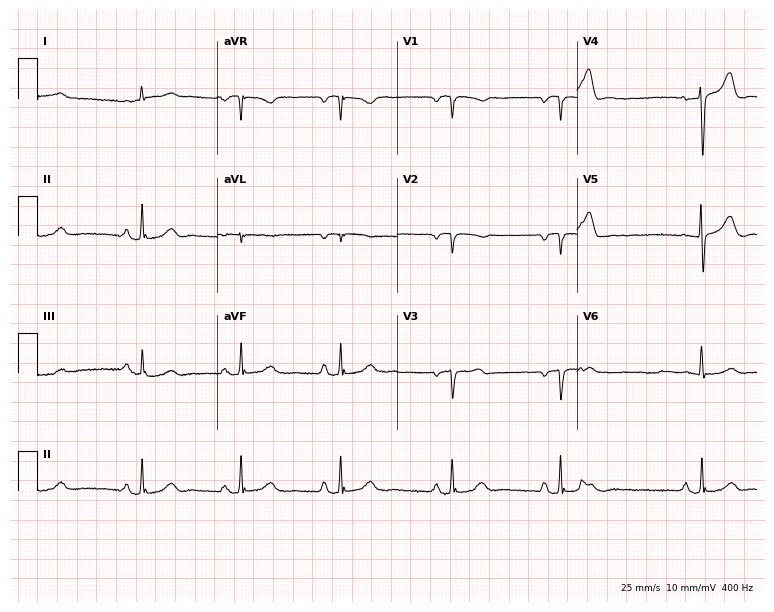
Standard 12-lead ECG recorded from a male patient, 66 years old (7.3-second recording at 400 Hz). None of these six findings is recorded: first-degree AV block, right bundle branch block, left bundle branch block, sinus bradycardia, atrial fibrillation, sinus tachycardia.